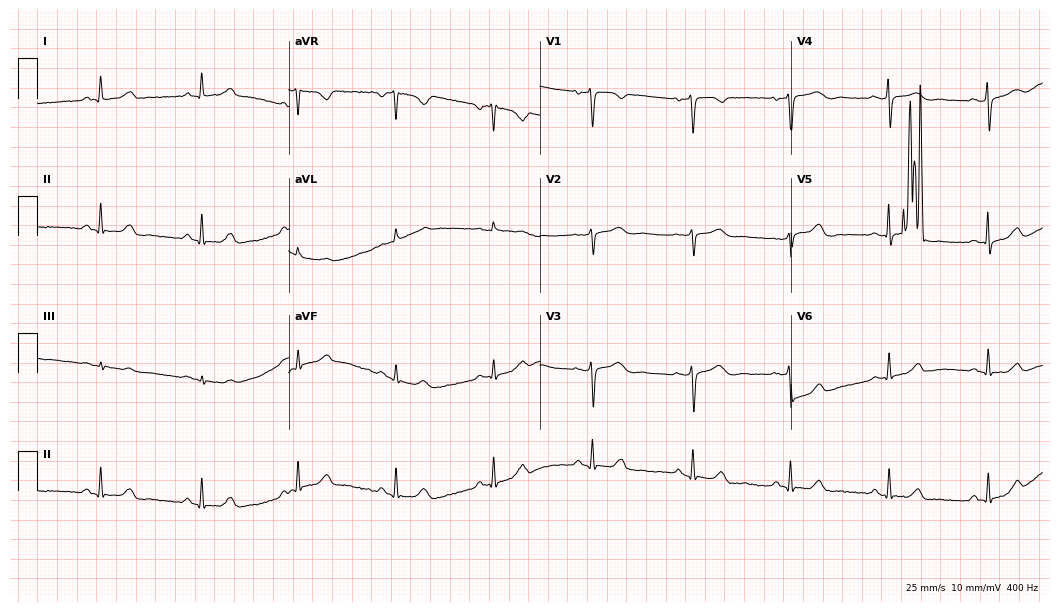
Resting 12-lead electrocardiogram. Patient: a female, 55 years old. Read as a normal ECG.